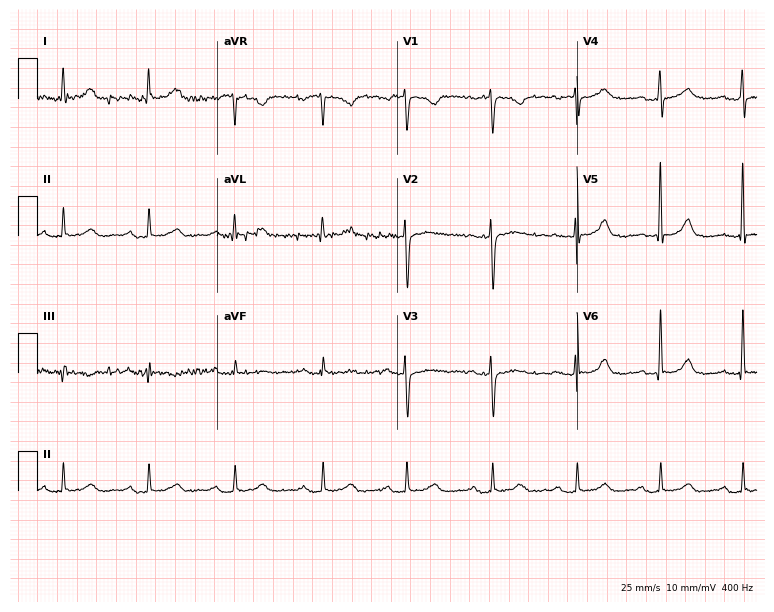
12-lead ECG from a 46-year-old female. Screened for six findings — first-degree AV block, right bundle branch block (RBBB), left bundle branch block (LBBB), sinus bradycardia, atrial fibrillation (AF), sinus tachycardia — none is recorded. Findings outside these six are not listed.